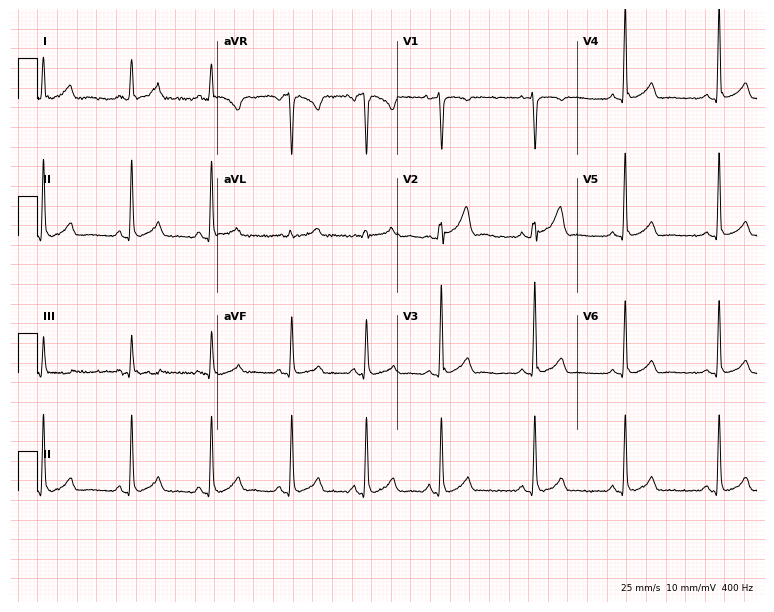
Standard 12-lead ECG recorded from a 34-year-old female patient. Read as a normal ECG.